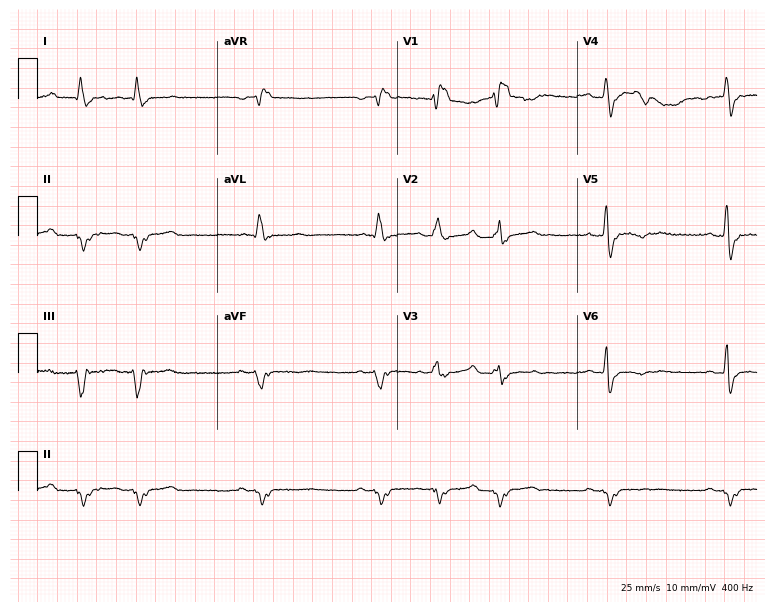
Standard 12-lead ECG recorded from a man, 45 years old. The tracing shows right bundle branch block, atrial fibrillation.